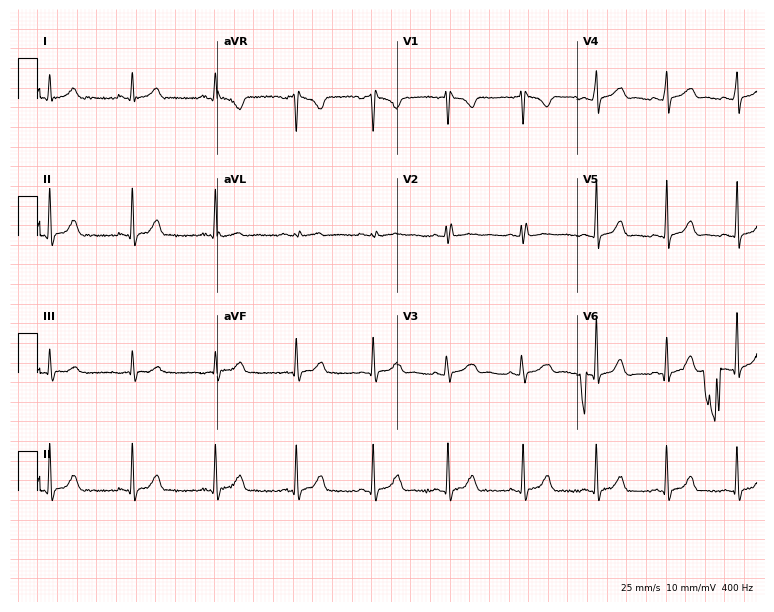
Resting 12-lead electrocardiogram (7.3-second recording at 400 Hz). Patient: a female, 30 years old. Read as a normal ECG.